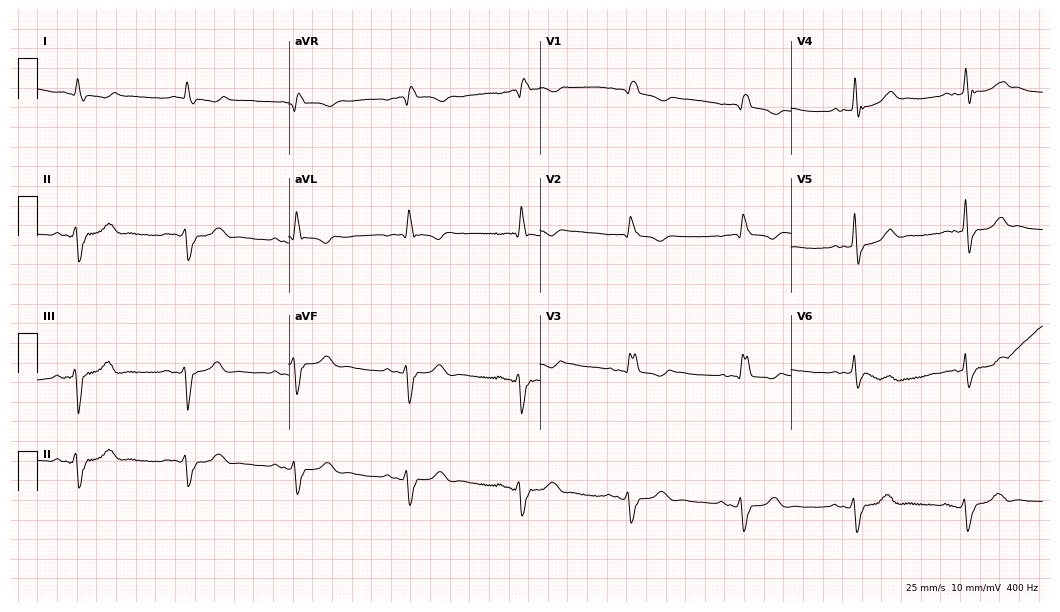
12-lead ECG from a male patient, 78 years old. Shows right bundle branch block.